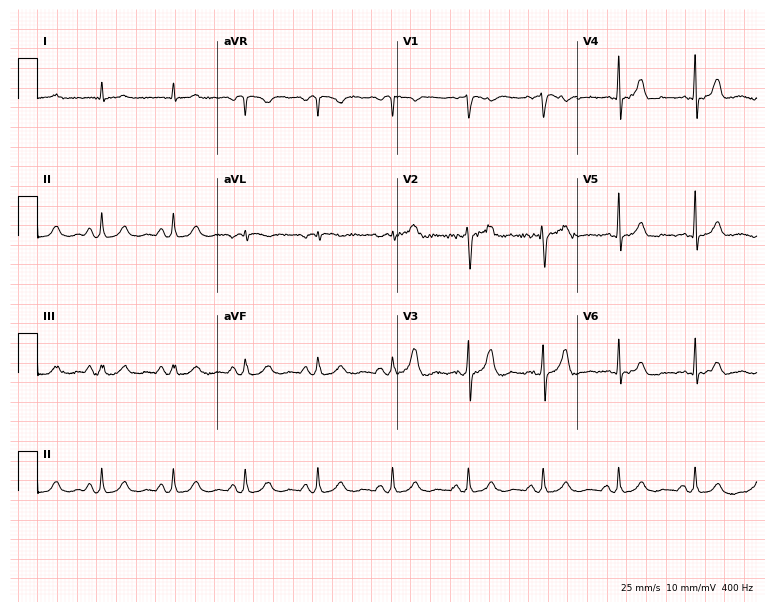
Resting 12-lead electrocardiogram (7.3-second recording at 400 Hz). Patient: a 64-year-old man. Read as a normal ECG.